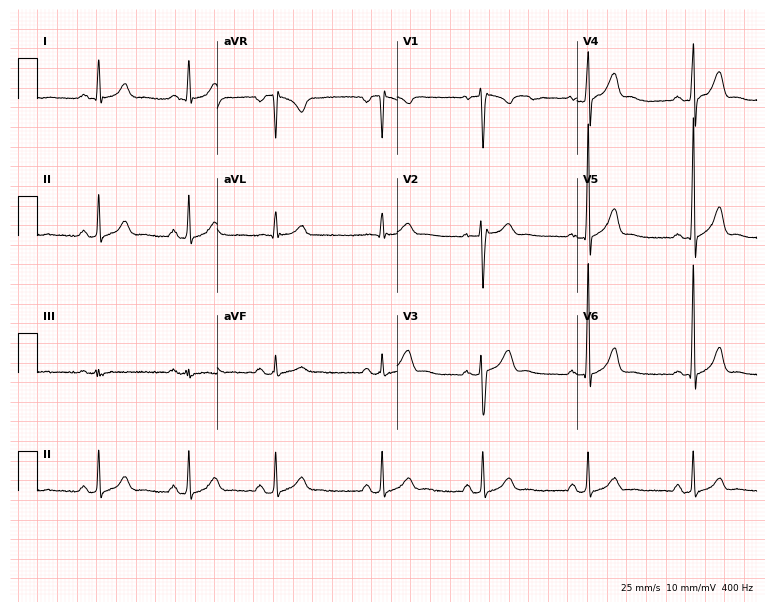
Standard 12-lead ECG recorded from a 35-year-old man. None of these six findings is recorded: first-degree AV block, right bundle branch block, left bundle branch block, sinus bradycardia, atrial fibrillation, sinus tachycardia. Findings outside these six are not listed.